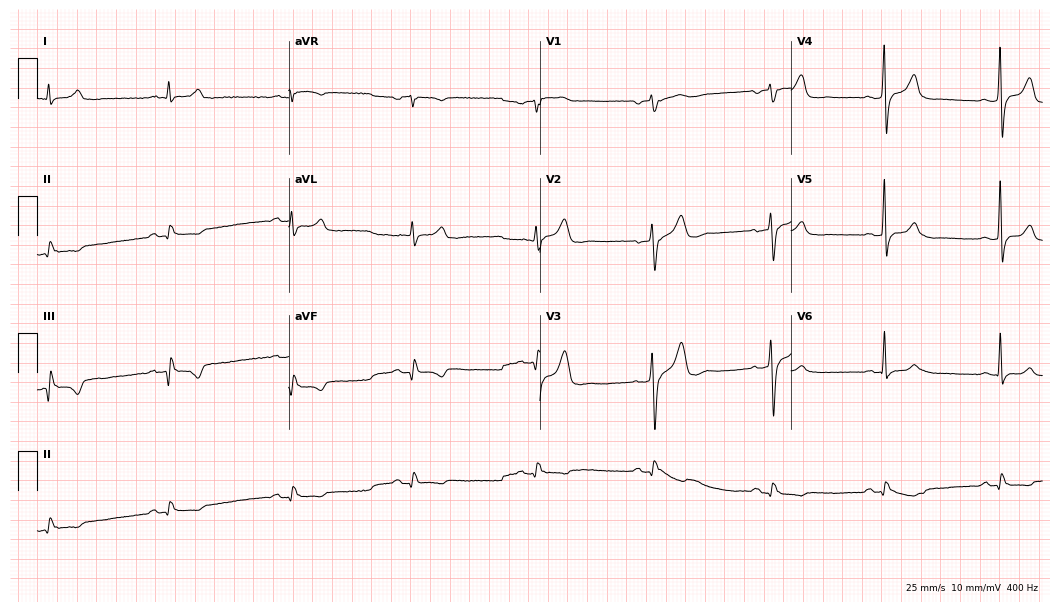
Resting 12-lead electrocardiogram (10.2-second recording at 400 Hz). Patient: a 75-year-old male. The tracing shows sinus bradycardia (a sinus rate of 50 beats per minute or less).